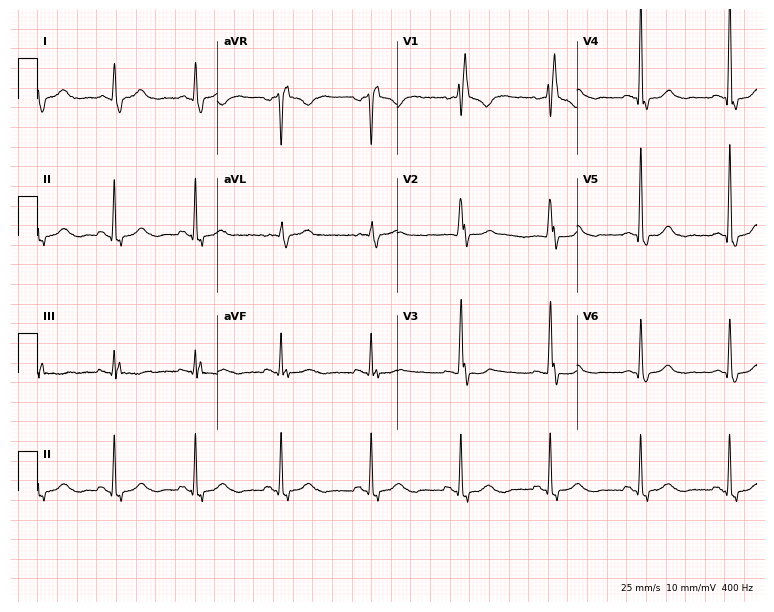
Electrocardiogram, a 63-year-old woman. Interpretation includes right bundle branch block.